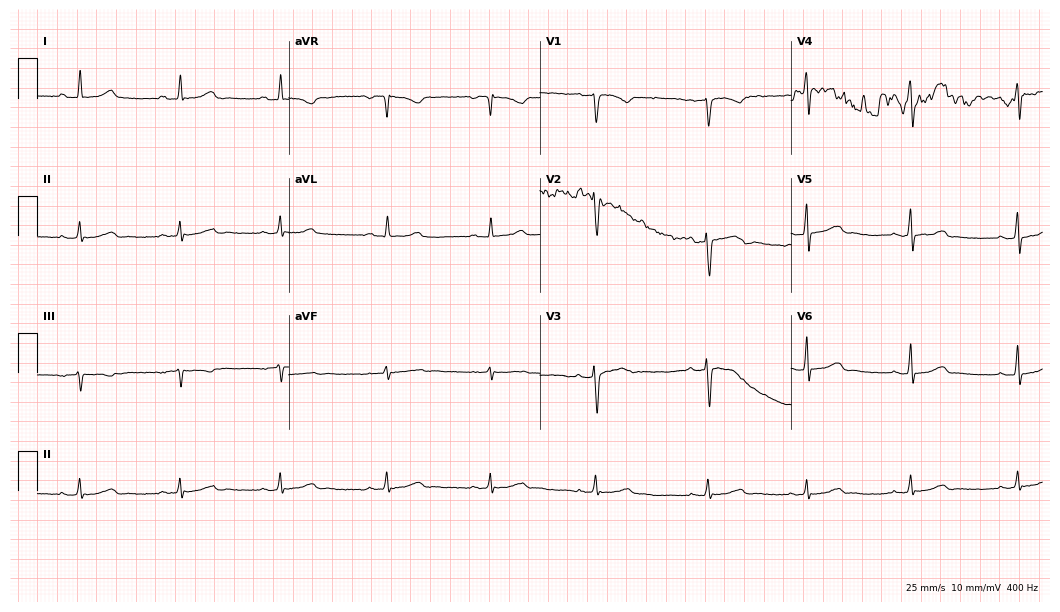
Resting 12-lead electrocardiogram (10.2-second recording at 400 Hz). Patient: a 34-year-old female. Read as a normal ECG.